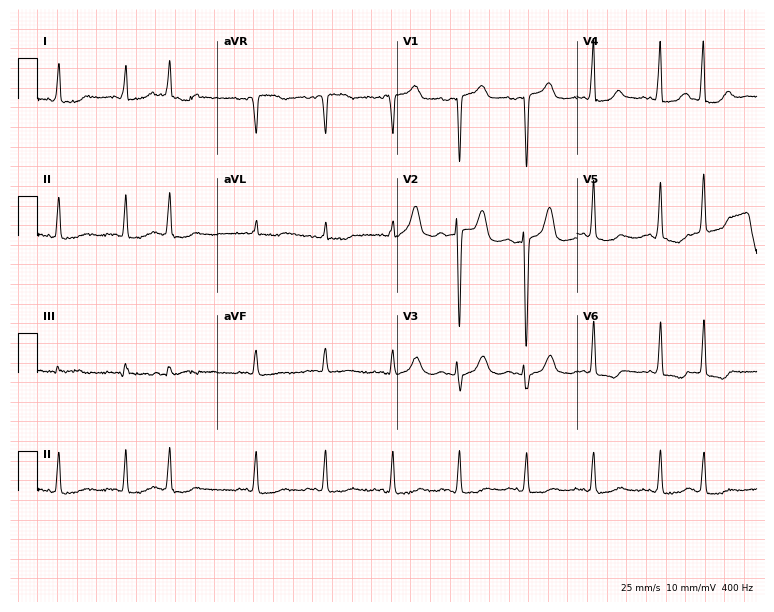
Resting 12-lead electrocardiogram (7.3-second recording at 400 Hz). Patient: an 83-year-old female. None of these six findings is recorded: first-degree AV block, right bundle branch block (RBBB), left bundle branch block (LBBB), sinus bradycardia, atrial fibrillation (AF), sinus tachycardia.